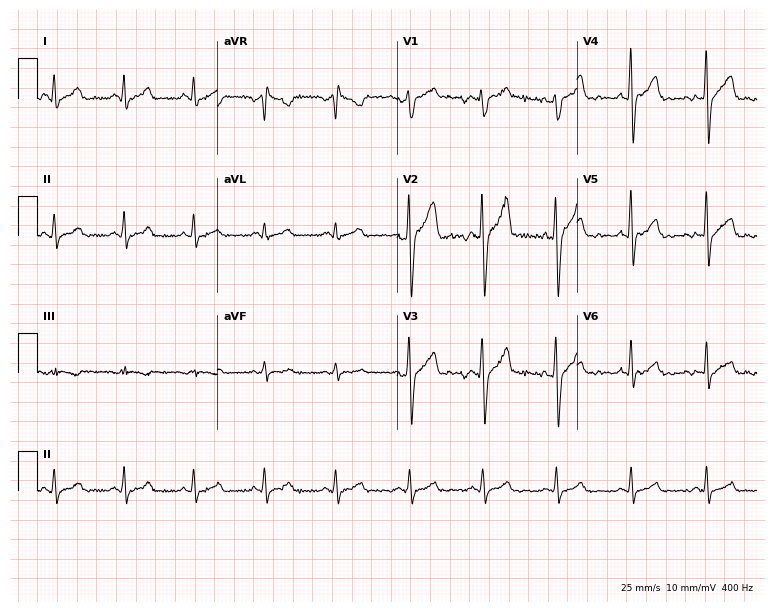
12-lead ECG (7.3-second recording at 400 Hz) from a man, 32 years old. Labelled as a normal ECG.